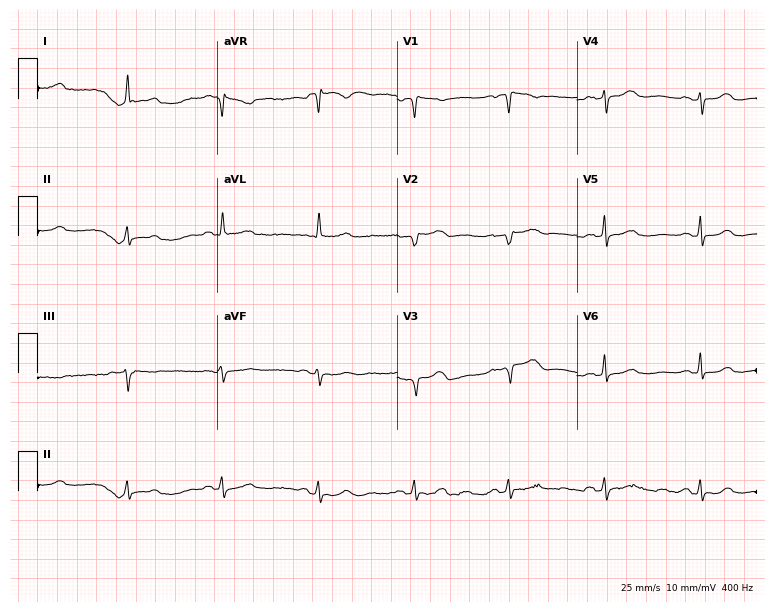
Electrocardiogram (7.3-second recording at 400 Hz), a woman, 72 years old. Of the six screened findings (first-degree AV block, right bundle branch block, left bundle branch block, sinus bradycardia, atrial fibrillation, sinus tachycardia), none is recorded. Findings outside these six are not listed.